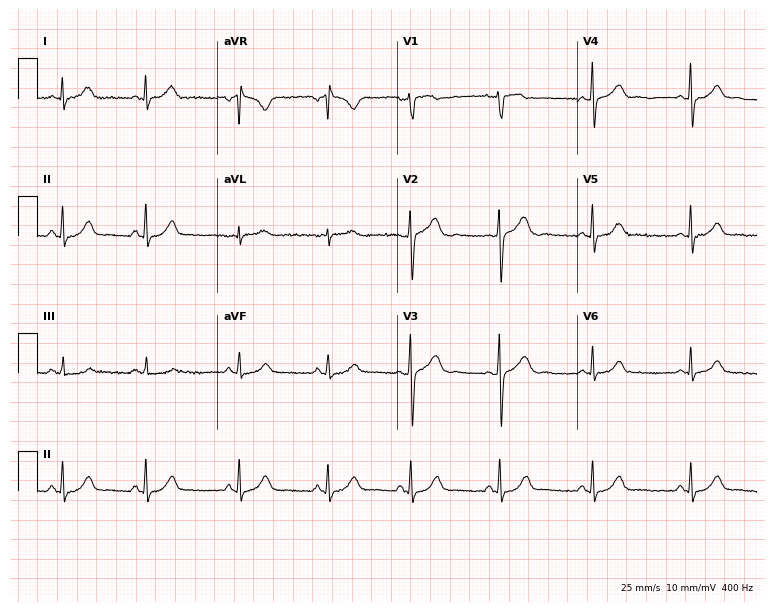
Standard 12-lead ECG recorded from a woman, 25 years old (7.3-second recording at 400 Hz). Read as a normal ECG.